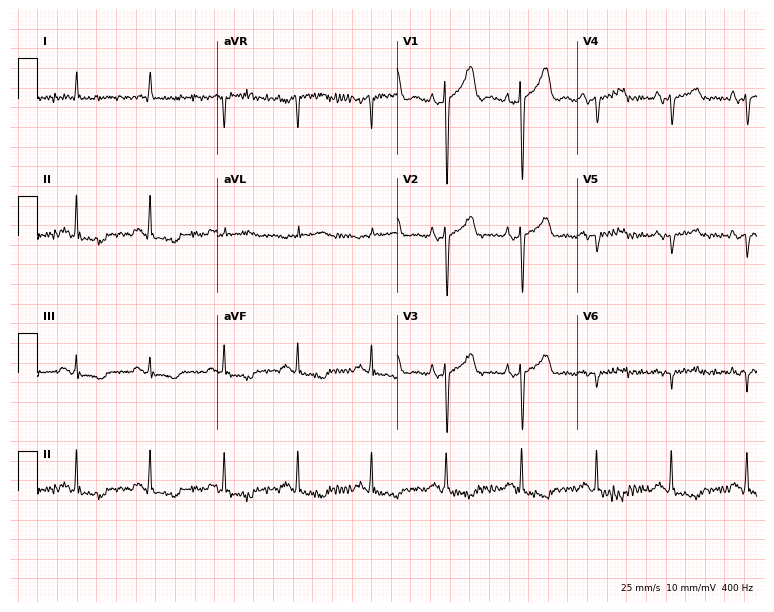
12-lead ECG from a 71-year-old man. No first-degree AV block, right bundle branch block, left bundle branch block, sinus bradycardia, atrial fibrillation or sinus tachycardia recorded for this tracing.